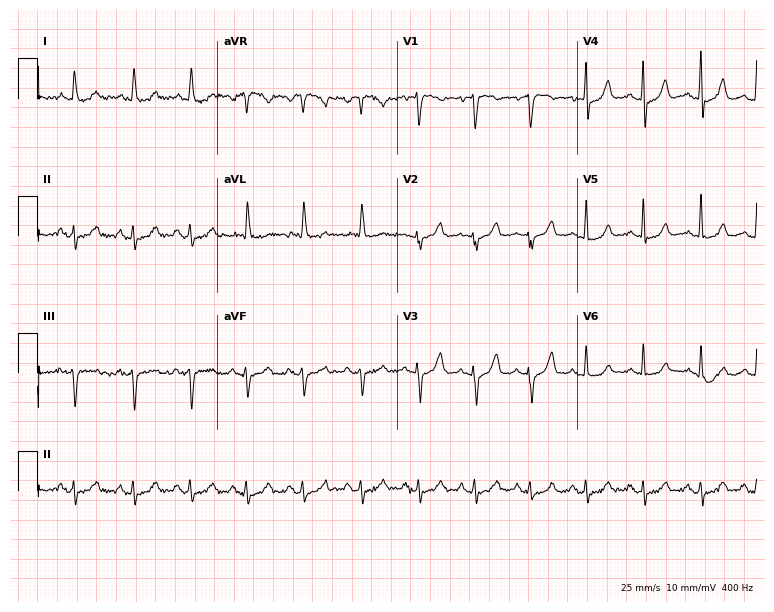
12-lead ECG (7.3-second recording at 400 Hz) from a 73-year-old woman. Findings include sinus tachycardia (a sinus rate of 100 beats per minute or more).